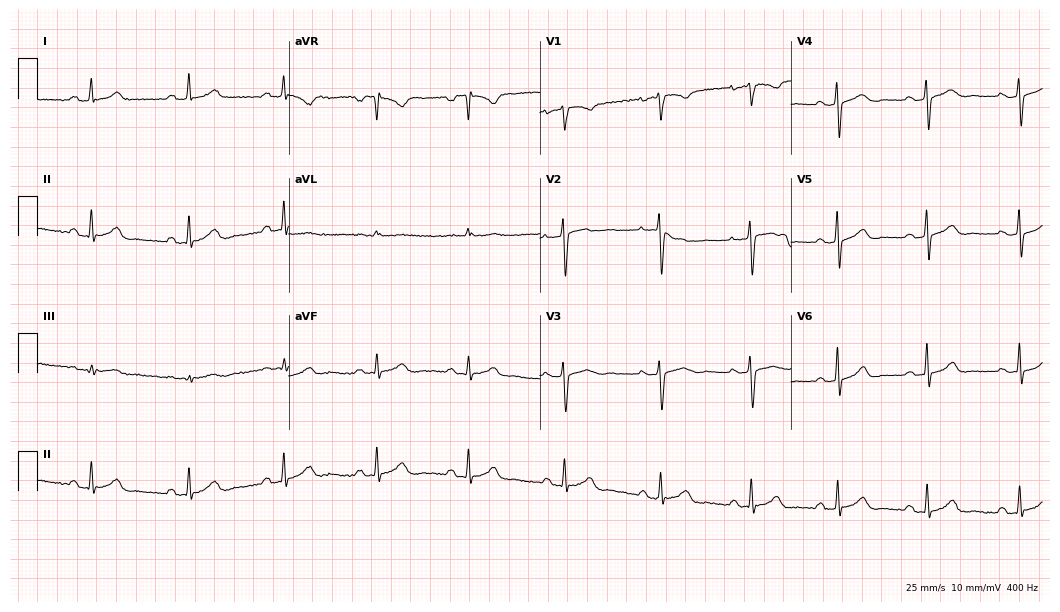
12-lead ECG from a 34-year-old female patient. Labelled as a normal ECG.